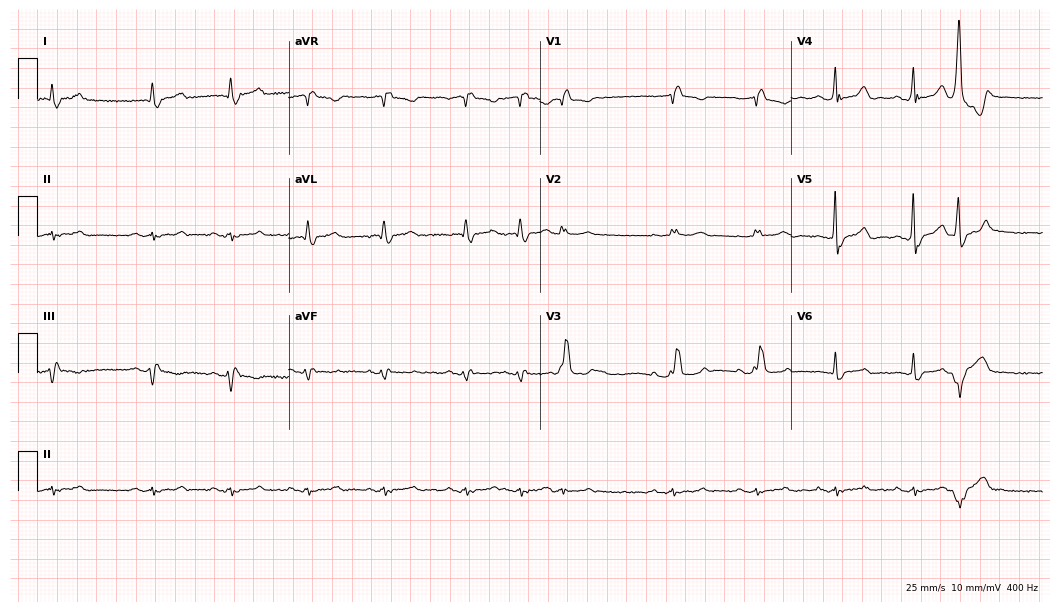
Electrocardiogram (10.2-second recording at 400 Hz), a 78-year-old man. Interpretation includes right bundle branch block (RBBB).